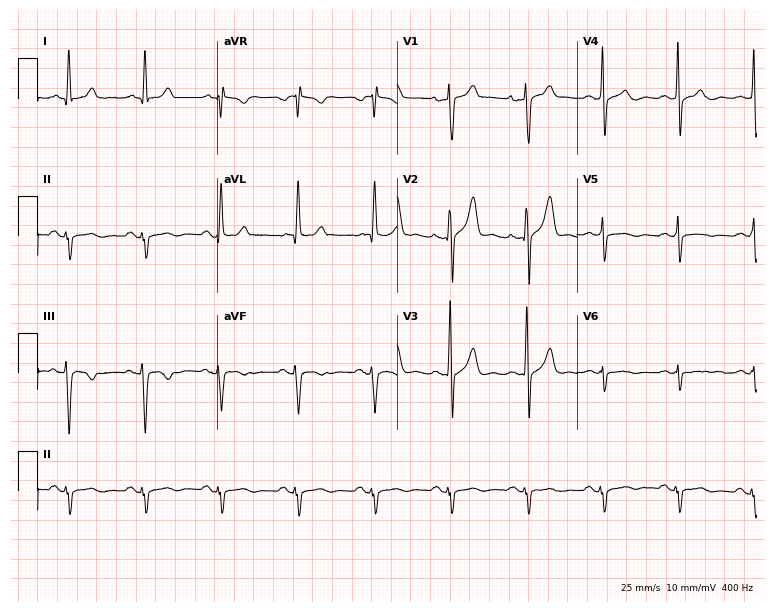
Standard 12-lead ECG recorded from a male, 67 years old. Read as a normal ECG.